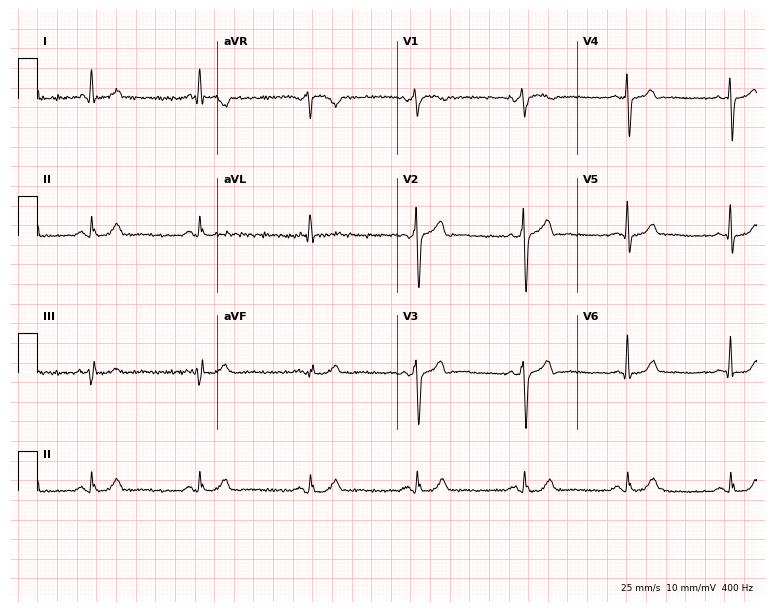
12-lead ECG from a male patient, 67 years old. Recorded interpretation: within normal limits.